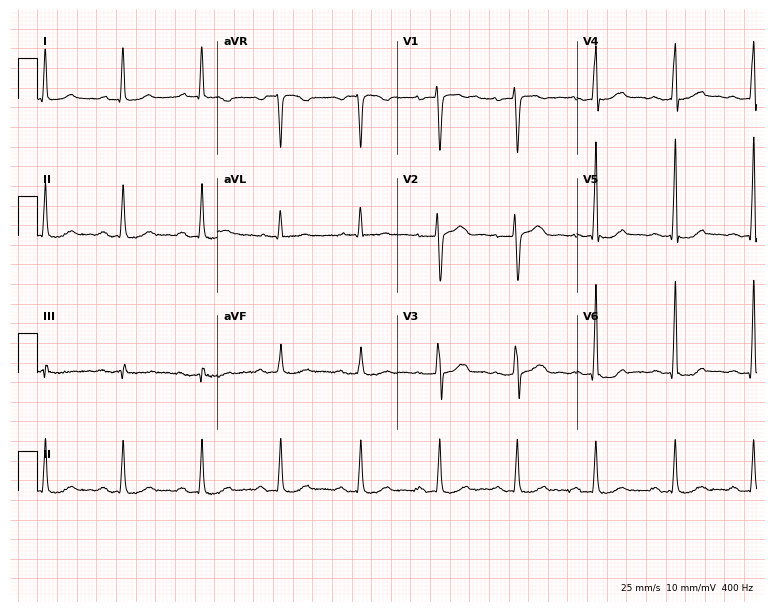
12-lead ECG (7.3-second recording at 400 Hz) from a 40-year-old female patient. Findings include first-degree AV block.